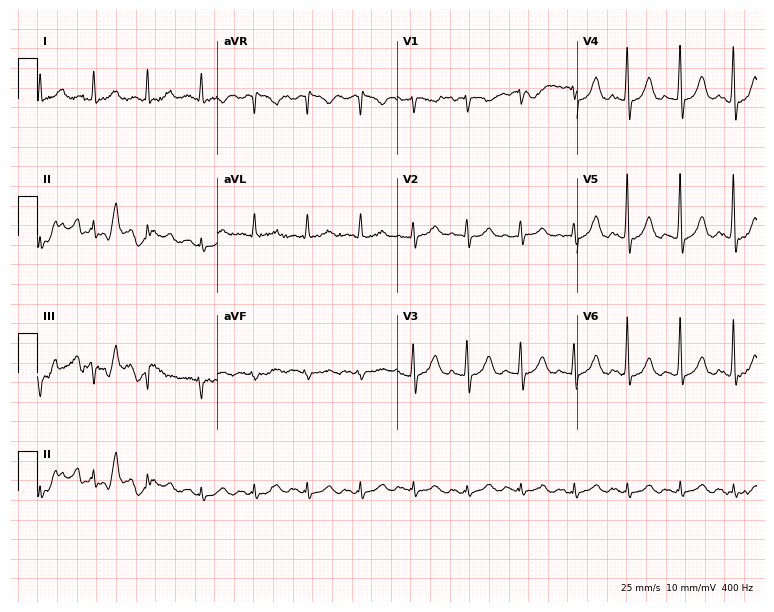
Standard 12-lead ECG recorded from a male patient, 64 years old. The tracing shows sinus tachycardia (a sinus rate of 100 beats per minute or more).